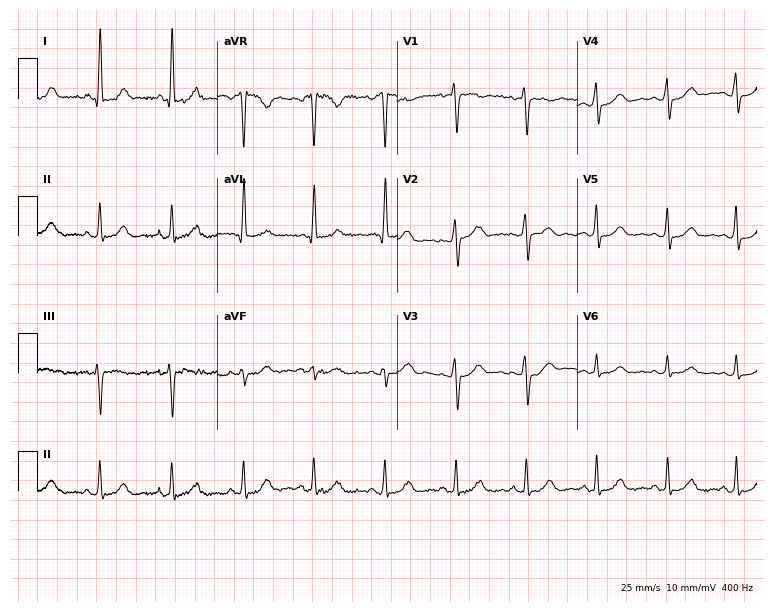
ECG (7.3-second recording at 400 Hz) — a 40-year-old female patient. Screened for six findings — first-degree AV block, right bundle branch block (RBBB), left bundle branch block (LBBB), sinus bradycardia, atrial fibrillation (AF), sinus tachycardia — none is recorded.